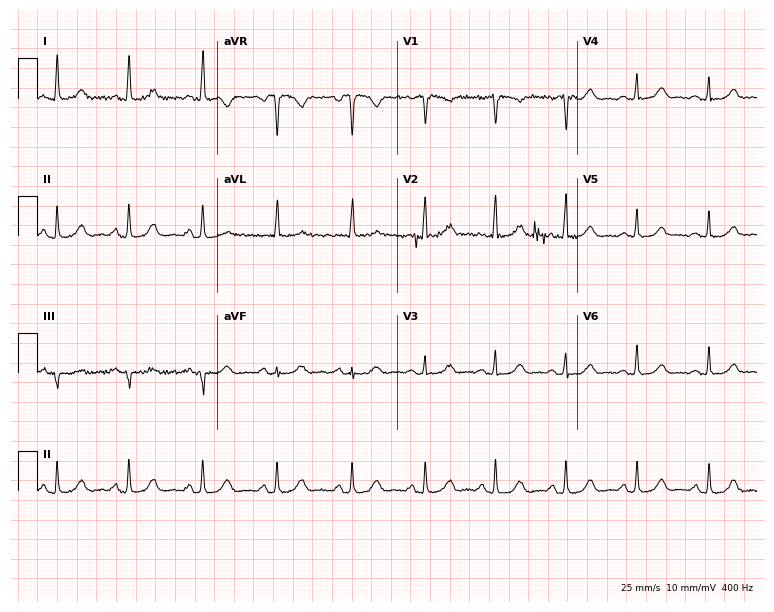
Electrocardiogram (7.3-second recording at 400 Hz), a woman, 68 years old. Overall reading on record: normal ECG.